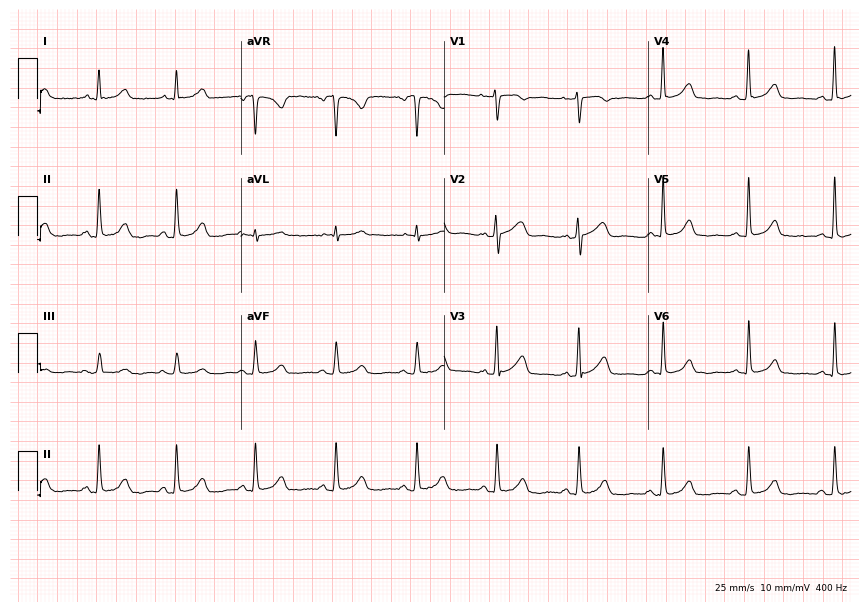
12-lead ECG from a 47-year-old woman (8.3-second recording at 400 Hz). Recorded interpretation: within normal limits.